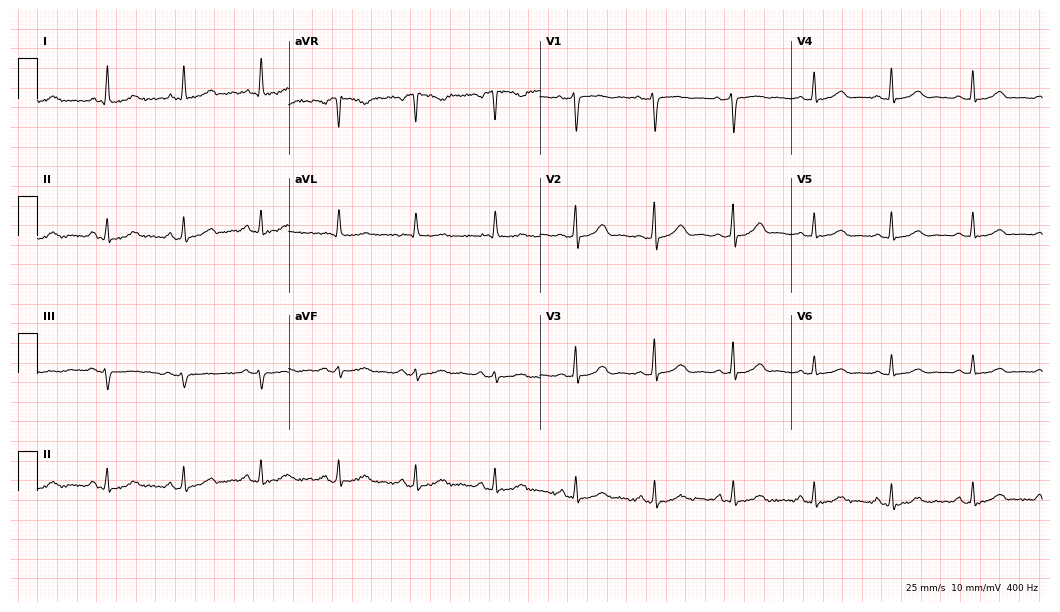
Standard 12-lead ECG recorded from a woman, 63 years old (10.2-second recording at 400 Hz). Read as a normal ECG.